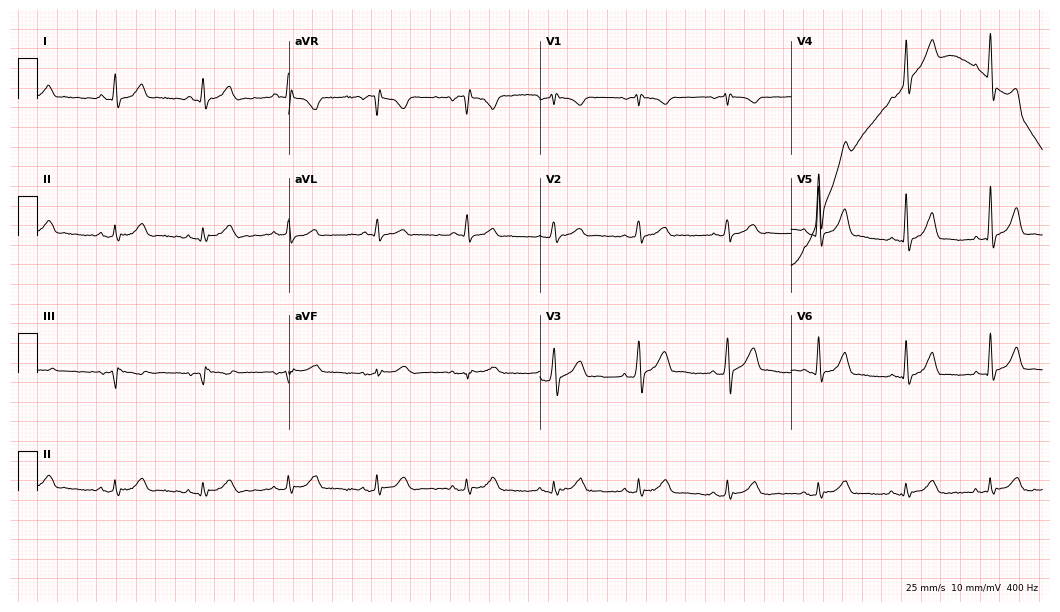
12-lead ECG (10.2-second recording at 400 Hz) from a 41-year-old male patient. Screened for six findings — first-degree AV block, right bundle branch block, left bundle branch block, sinus bradycardia, atrial fibrillation, sinus tachycardia — none is recorded.